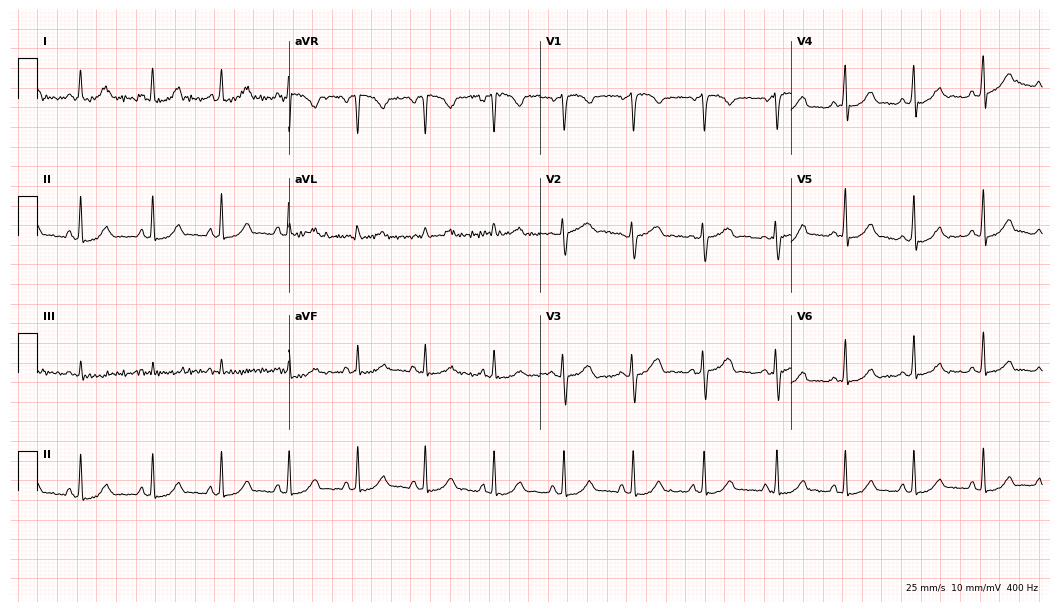
12-lead ECG from a 21-year-old female. Screened for six findings — first-degree AV block, right bundle branch block, left bundle branch block, sinus bradycardia, atrial fibrillation, sinus tachycardia — none is recorded.